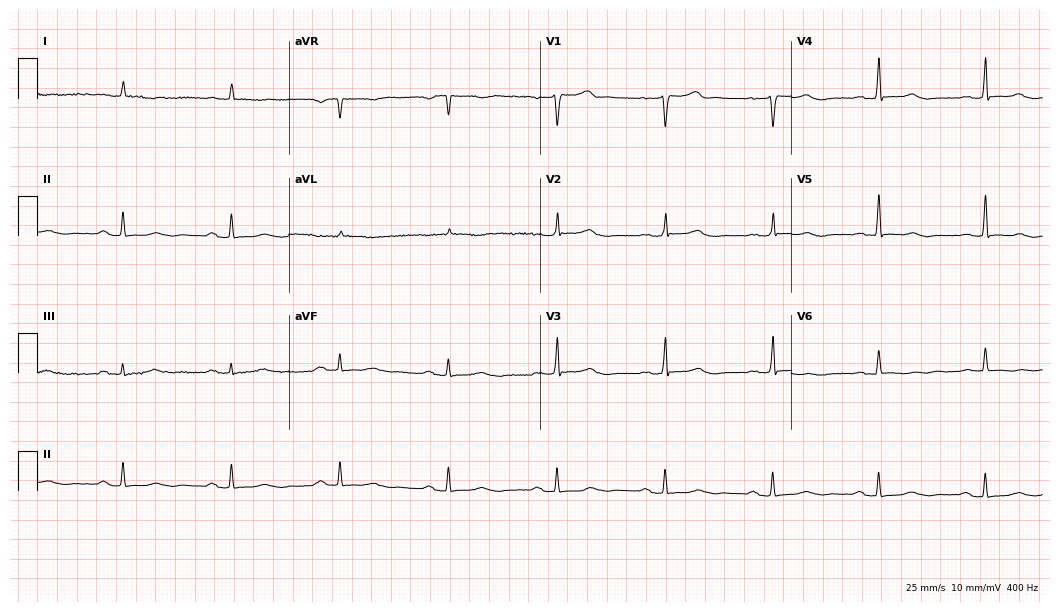
12-lead ECG from a 56-year-old male patient. Screened for six findings — first-degree AV block, right bundle branch block, left bundle branch block, sinus bradycardia, atrial fibrillation, sinus tachycardia — none is recorded.